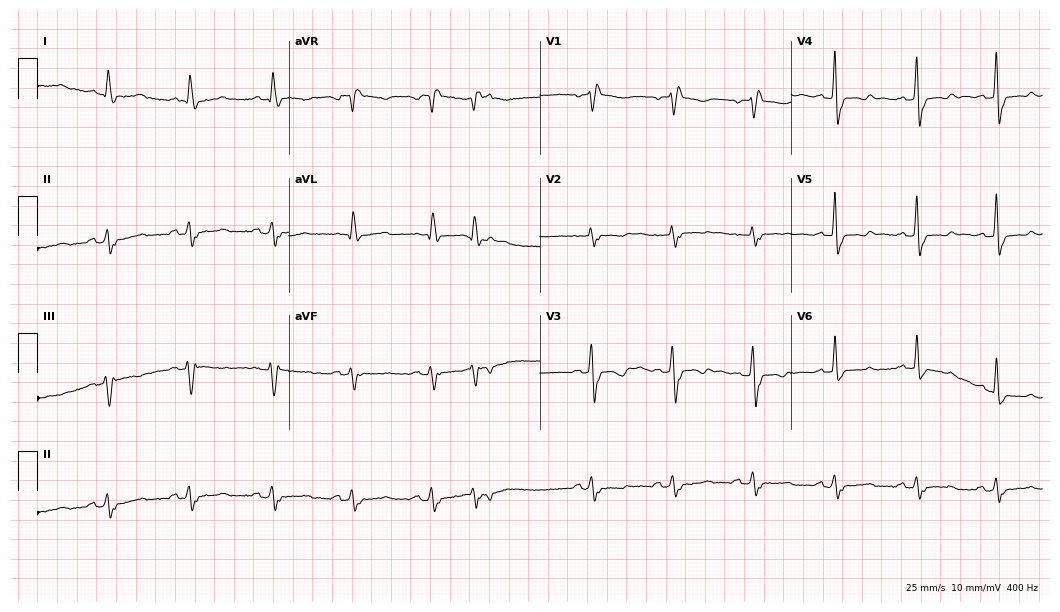
12-lead ECG (10.2-second recording at 400 Hz) from a female, 82 years old. Screened for six findings — first-degree AV block, right bundle branch block, left bundle branch block, sinus bradycardia, atrial fibrillation, sinus tachycardia — none is recorded.